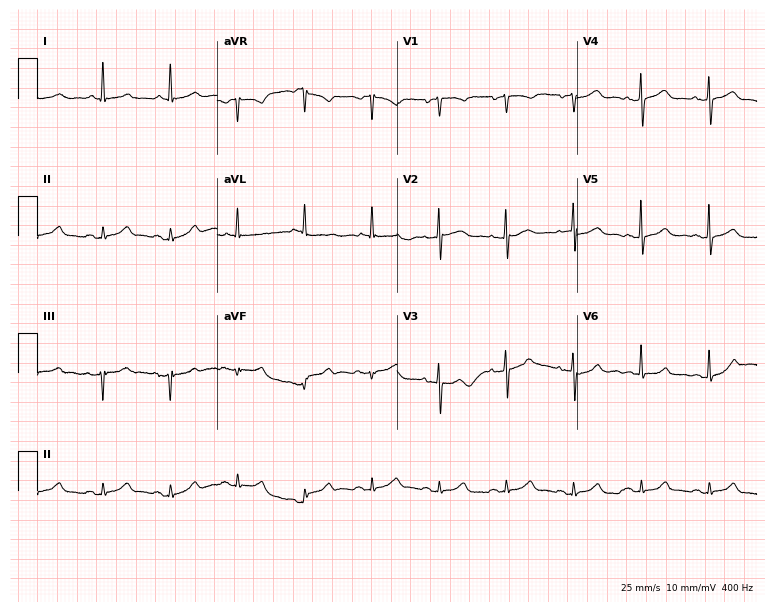
Electrocardiogram, a 60-year-old female patient. Overall reading on record: normal ECG.